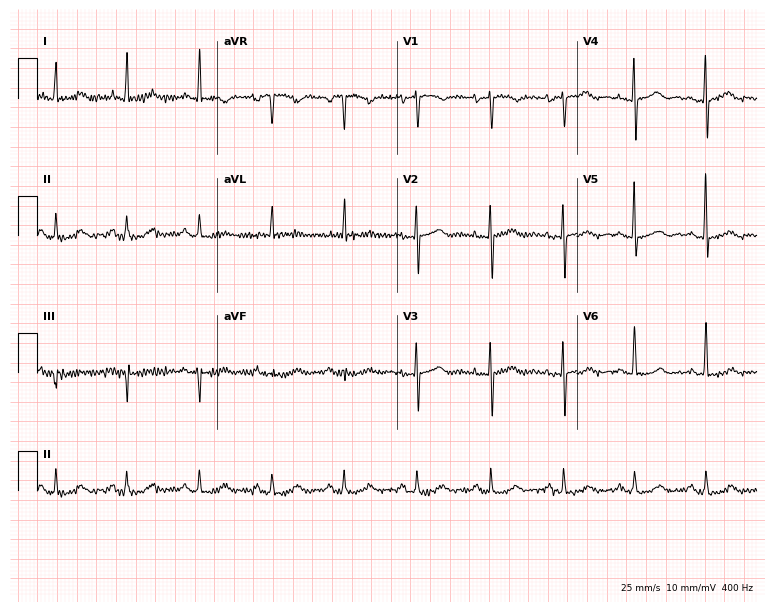
Resting 12-lead electrocardiogram. Patient: a woman, 61 years old. None of these six findings is recorded: first-degree AV block, right bundle branch block (RBBB), left bundle branch block (LBBB), sinus bradycardia, atrial fibrillation (AF), sinus tachycardia. Findings outside these six are not listed.